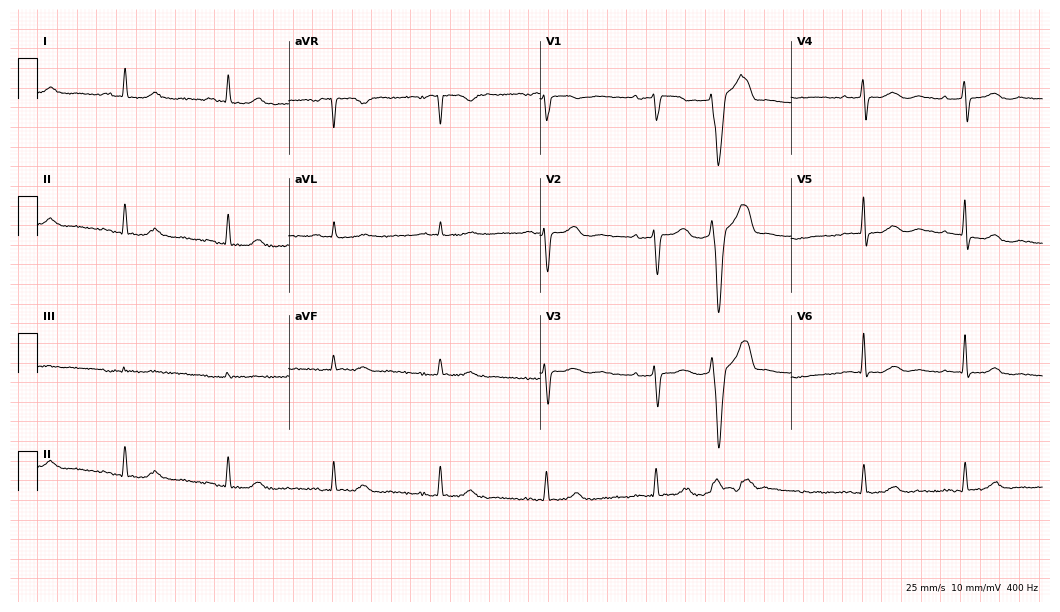
Electrocardiogram (10.2-second recording at 400 Hz), a female patient, 78 years old. Overall reading on record: normal ECG.